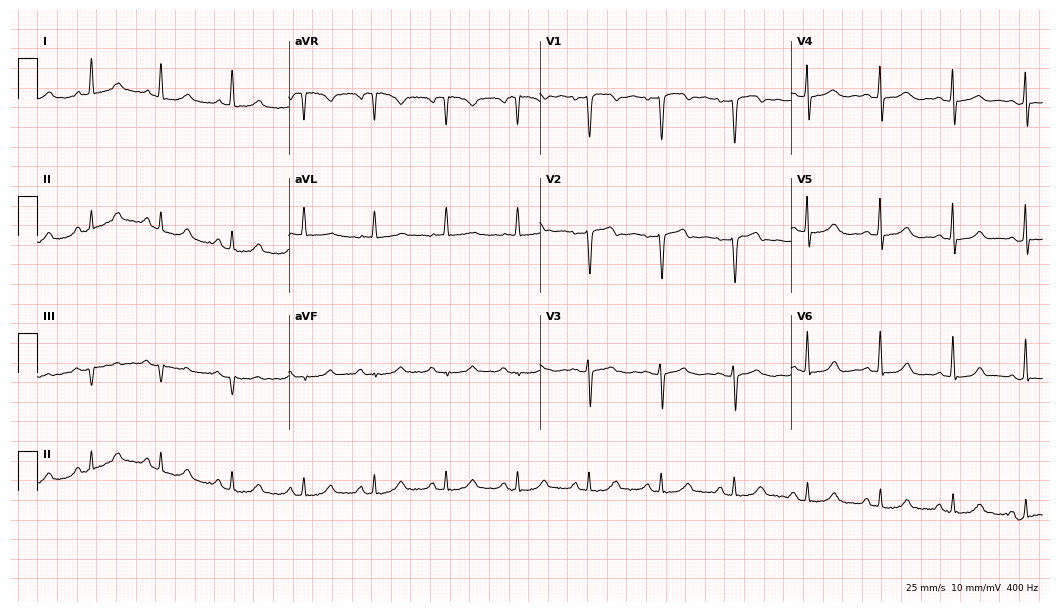
Standard 12-lead ECG recorded from a 70-year-old woman. Read as a normal ECG.